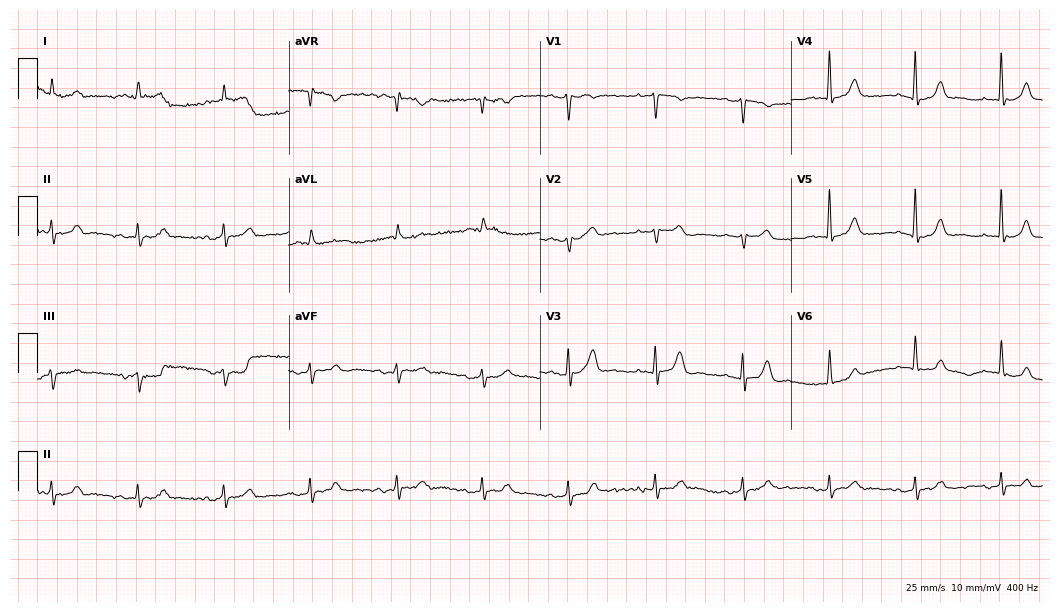
Electrocardiogram (10.2-second recording at 400 Hz), a man, 85 years old. Overall reading on record: normal ECG.